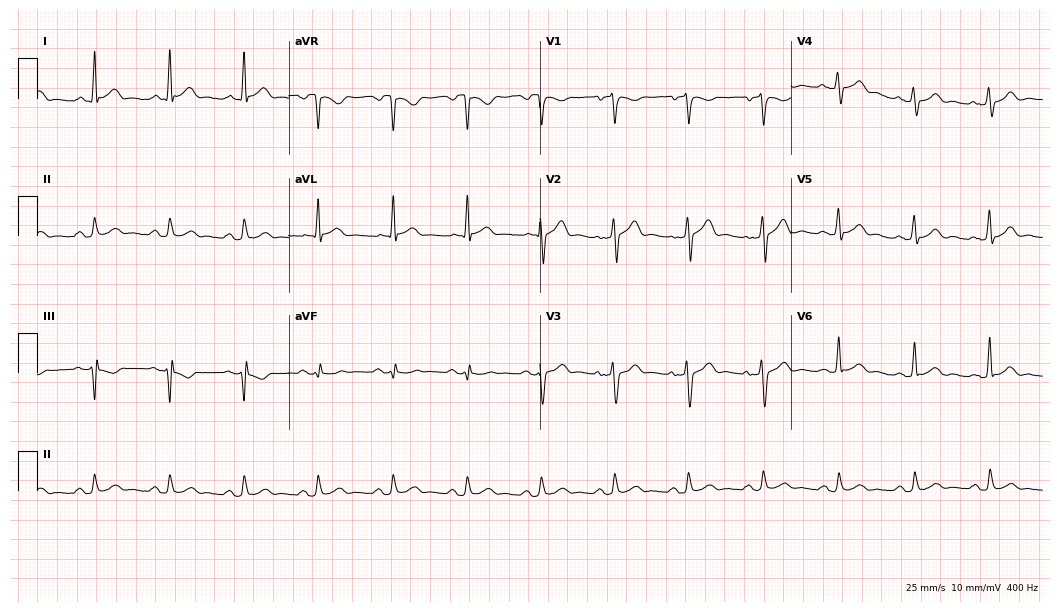
ECG (10.2-second recording at 400 Hz) — a male, 49 years old. Labelled as a normal ECG.